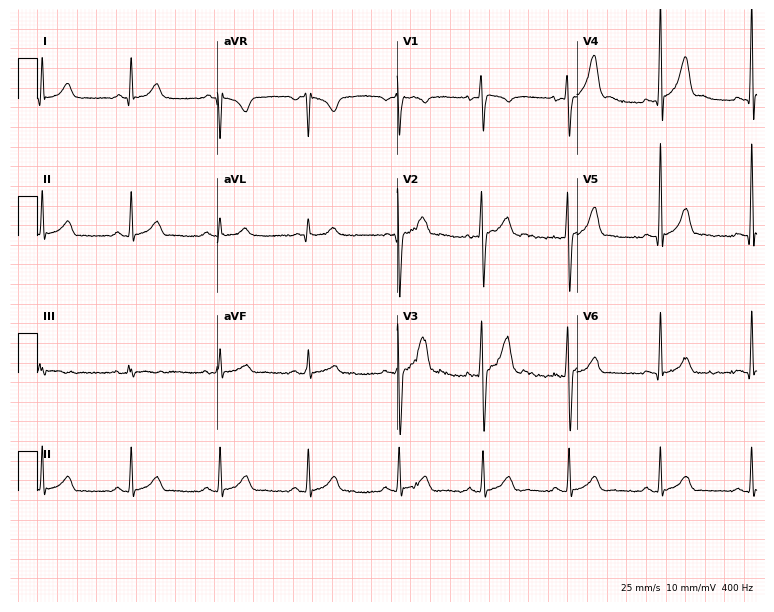
12-lead ECG from a 21-year-old male patient. Recorded interpretation: within normal limits.